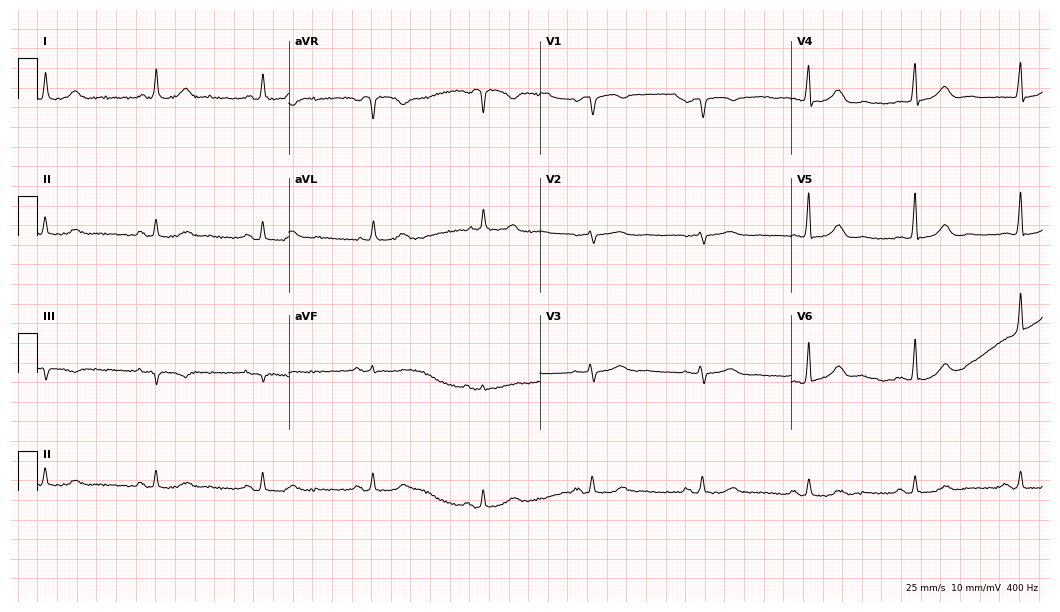
12-lead ECG from a female, 76 years old. Labelled as a normal ECG.